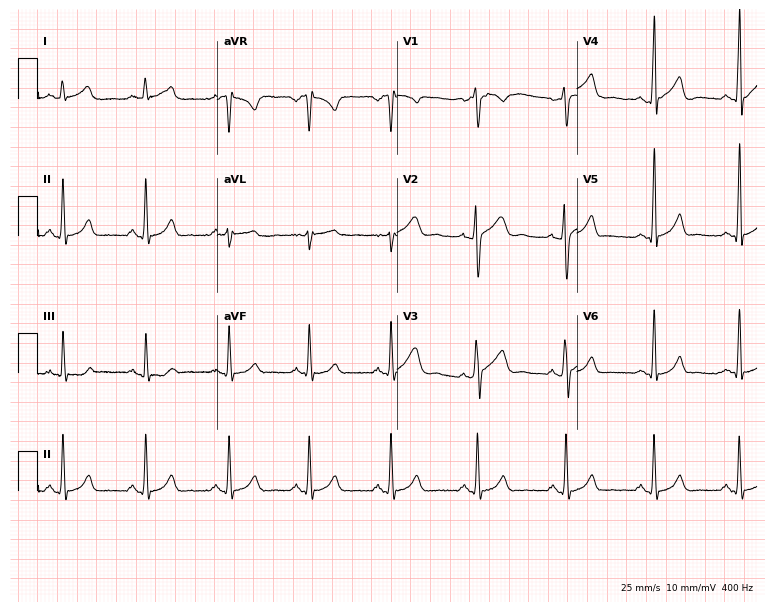
ECG (7.3-second recording at 400 Hz) — a 28-year-old man. Labelled as a normal ECG.